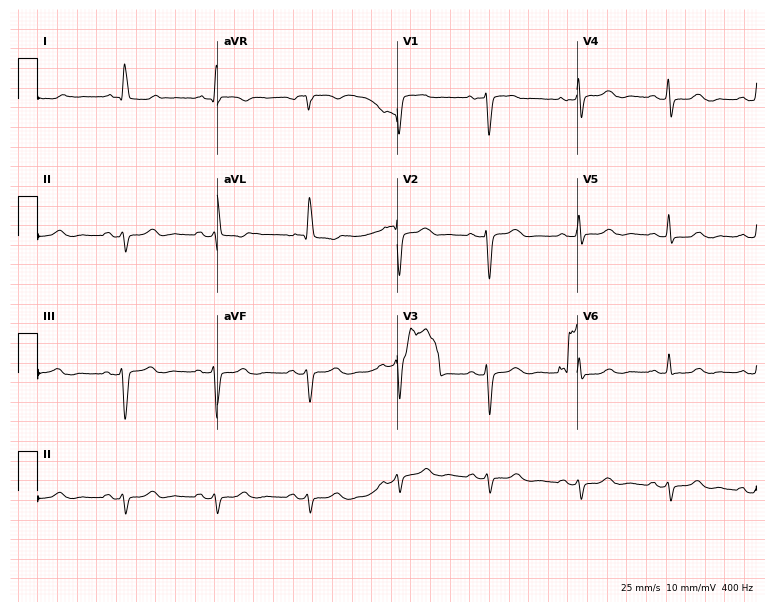
ECG (7.3-second recording at 400 Hz) — a 69-year-old female. Screened for six findings — first-degree AV block, right bundle branch block, left bundle branch block, sinus bradycardia, atrial fibrillation, sinus tachycardia — none is recorded. Only these six findings were labelled.